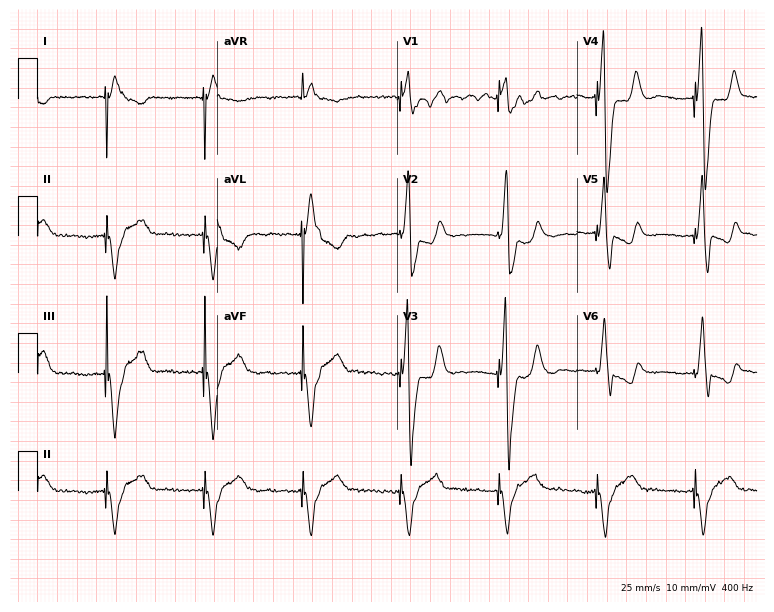
Standard 12-lead ECG recorded from a man, 80 years old (7.3-second recording at 400 Hz). None of these six findings is recorded: first-degree AV block, right bundle branch block, left bundle branch block, sinus bradycardia, atrial fibrillation, sinus tachycardia. Other findings, if any, are not listed.